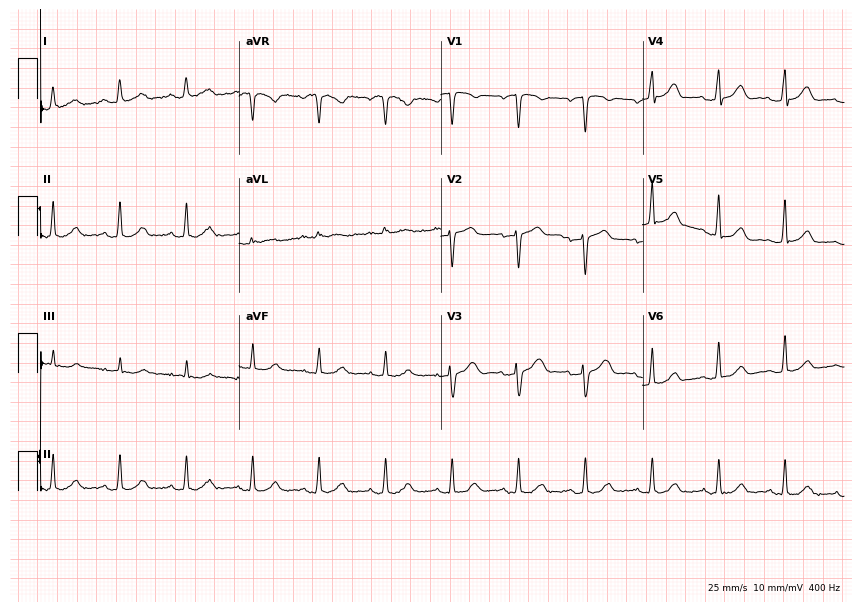
Resting 12-lead electrocardiogram (8.2-second recording at 400 Hz). Patient: a 48-year-old woman. None of these six findings is recorded: first-degree AV block, right bundle branch block, left bundle branch block, sinus bradycardia, atrial fibrillation, sinus tachycardia. Other findings, if any, are not listed.